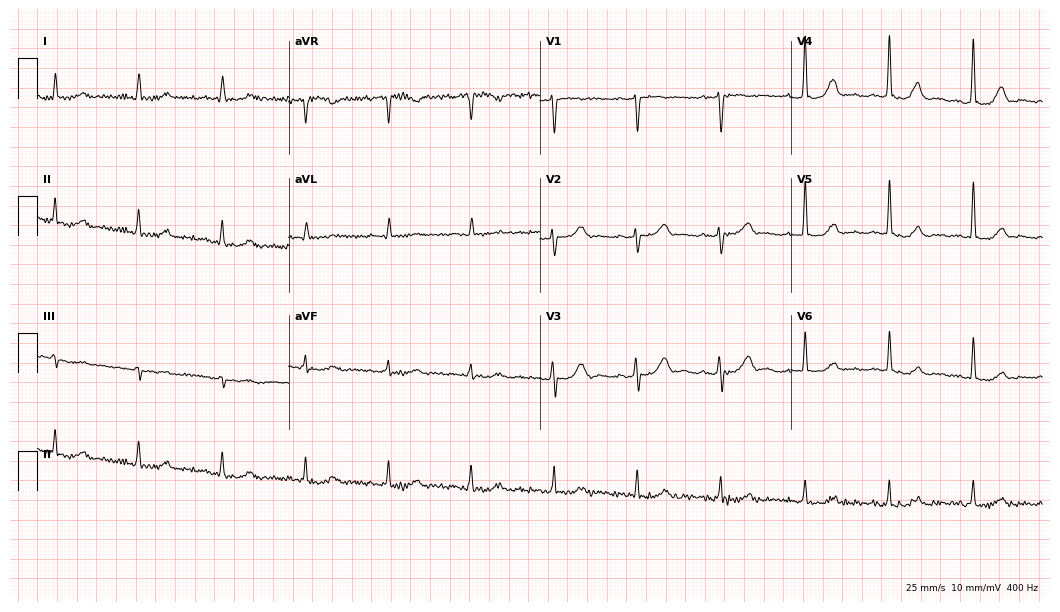
12-lead ECG (10.2-second recording at 400 Hz) from an 84-year-old man. Labelled as a normal ECG.